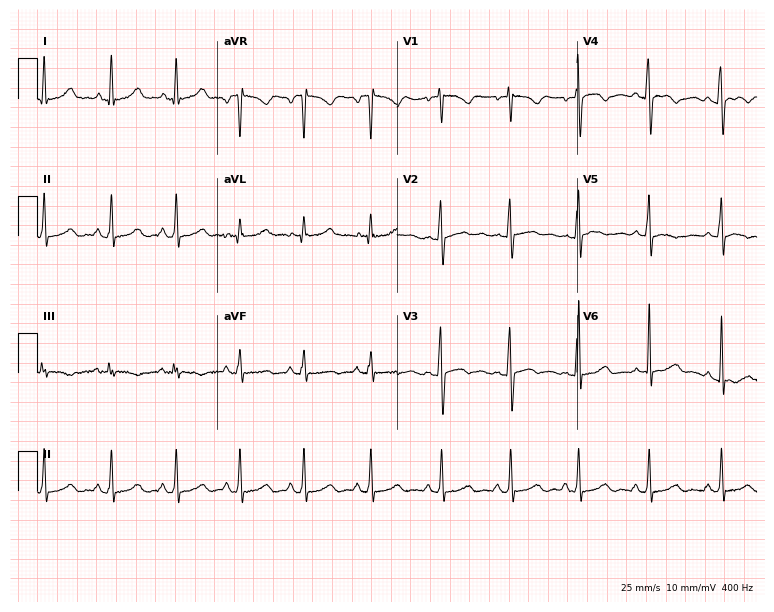
Electrocardiogram (7.3-second recording at 400 Hz), a 28-year-old female patient. Of the six screened findings (first-degree AV block, right bundle branch block, left bundle branch block, sinus bradycardia, atrial fibrillation, sinus tachycardia), none is recorded. Other findings, if any, are not listed.